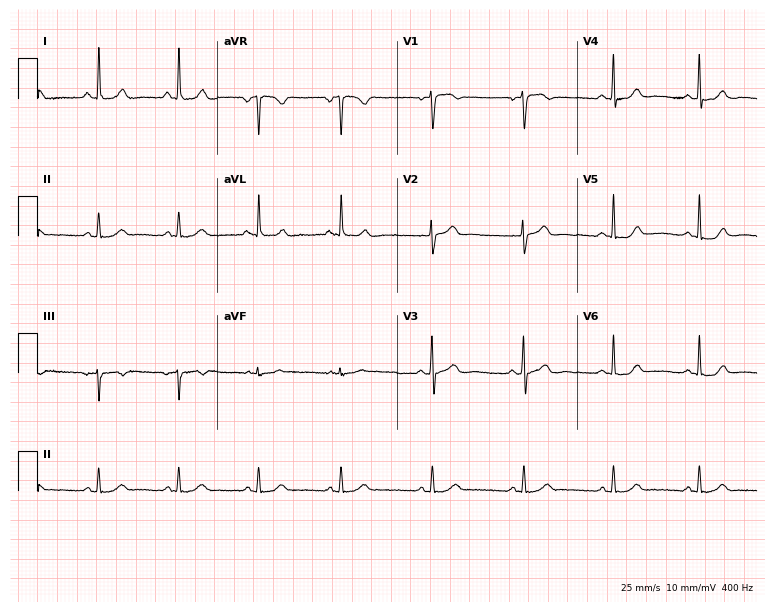
Resting 12-lead electrocardiogram (7.3-second recording at 400 Hz). Patient: a 34-year-old female. None of these six findings is recorded: first-degree AV block, right bundle branch block, left bundle branch block, sinus bradycardia, atrial fibrillation, sinus tachycardia.